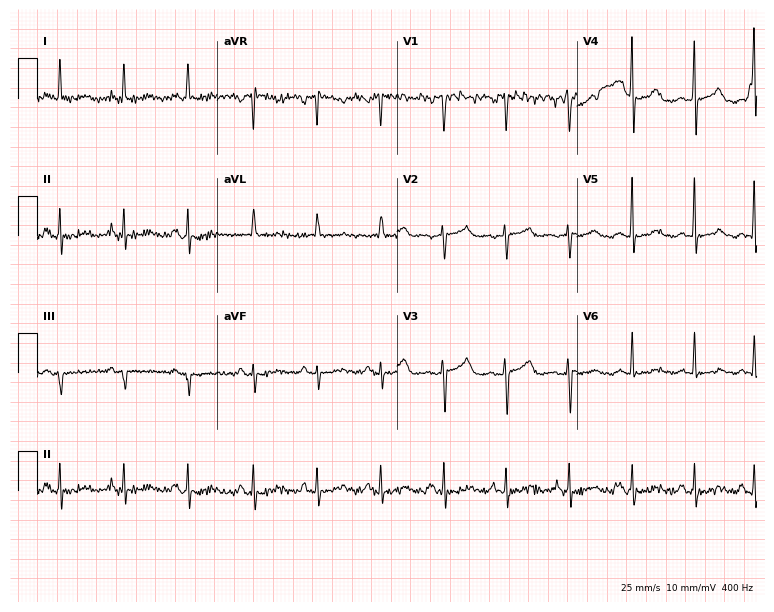
Electrocardiogram, a female patient, 58 years old. Of the six screened findings (first-degree AV block, right bundle branch block, left bundle branch block, sinus bradycardia, atrial fibrillation, sinus tachycardia), none is recorded. Findings outside these six are not listed.